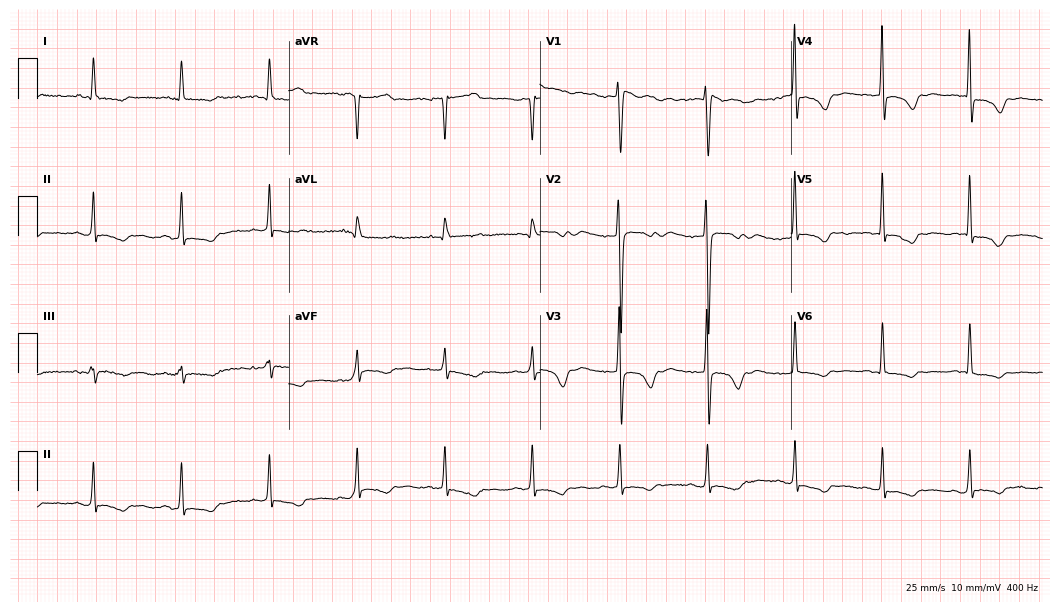
12-lead ECG (10.2-second recording at 400 Hz) from a 76-year-old female patient. Labelled as a normal ECG.